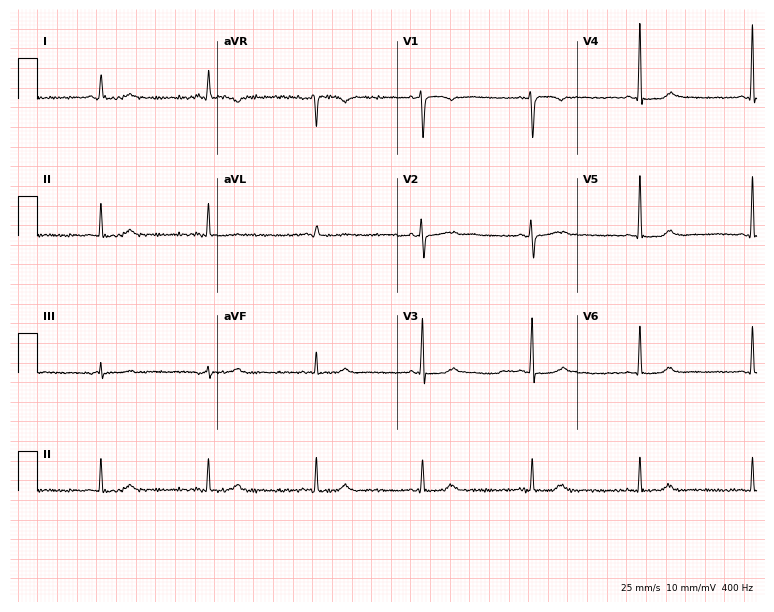
12-lead ECG (7.3-second recording at 400 Hz) from a 47-year-old female. Labelled as a normal ECG.